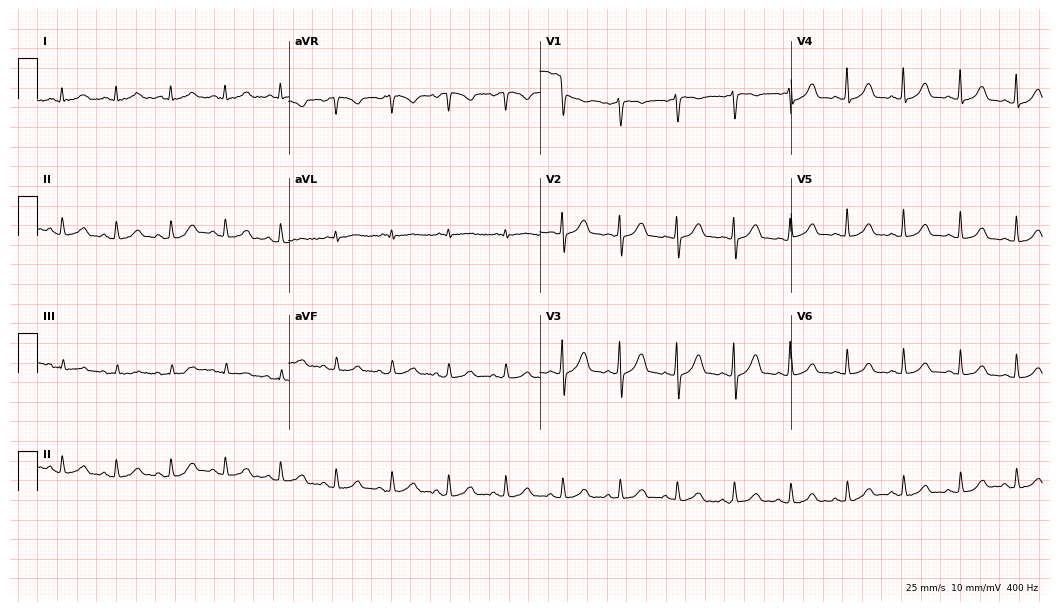
Standard 12-lead ECG recorded from a 45-year-old woman (10.2-second recording at 400 Hz). Read as a normal ECG.